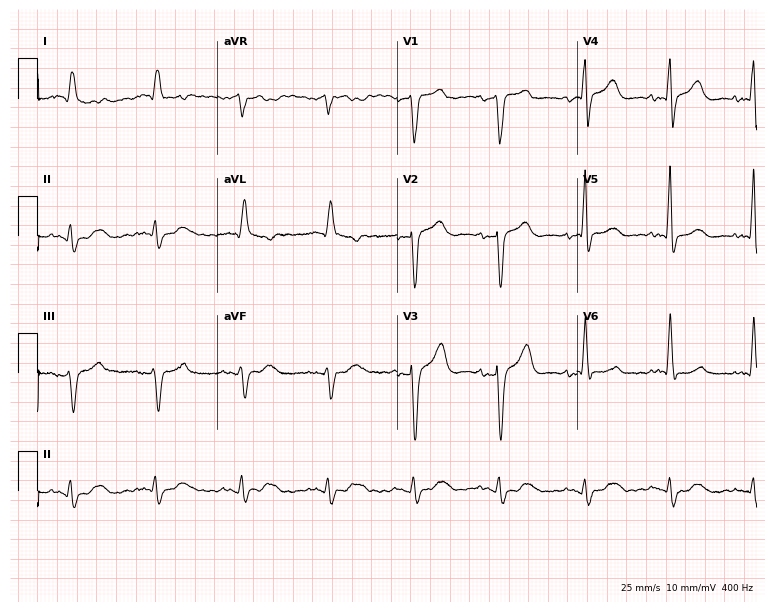
Electrocardiogram, a 67-year-old man. Of the six screened findings (first-degree AV block, right bundle branch block (RBBB), left bundle branch block (LBBB), sinus bradycardia, atrial fibrillation (AF), sinus tachycardia), none is recorded.